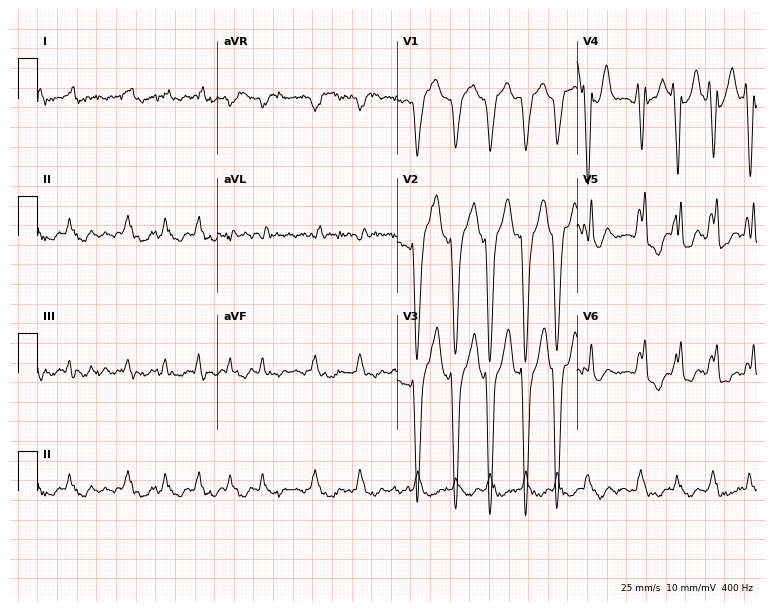
Resting 12-lead electrocardiogram (7.3-second recording at 400 Hz). Patient: a man, 83 years old. The tracing shows left bundle branch block, atrial fibrillation.